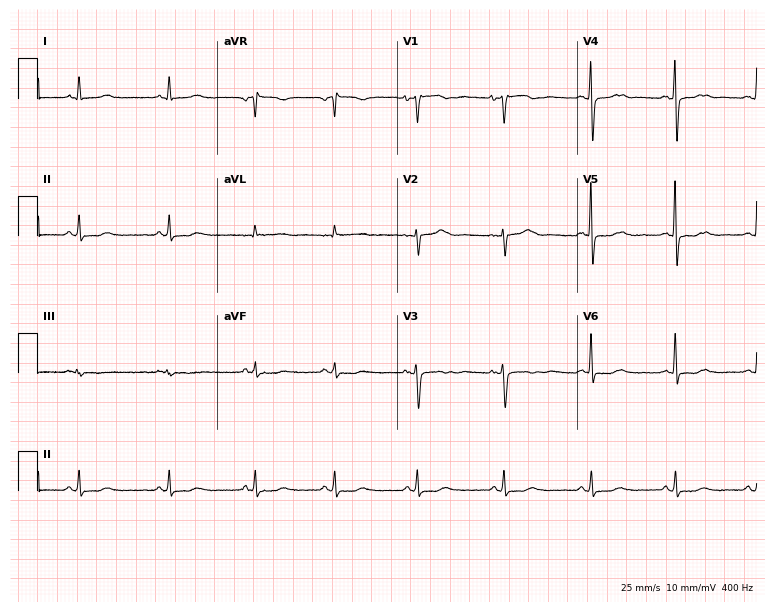
ECG (7.3-second recording at 400 Hz) — a woman, 47 years old. Labelled as a normal ECG.